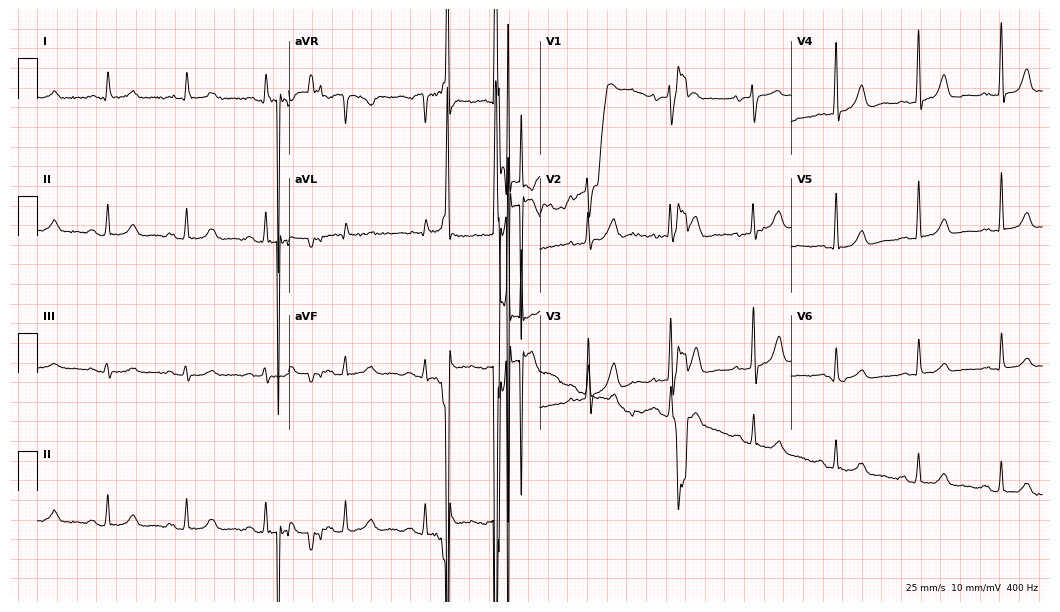
Electrocardiogram (10.2-second recording at 400 Hz), a male patient, 85 years old. Of the six screened findings (first-degree AV block, right bundle branch block, left bundle branch block, sinus bradycardia, atrial fibrillation, sinus tachycardia), none is recorded.